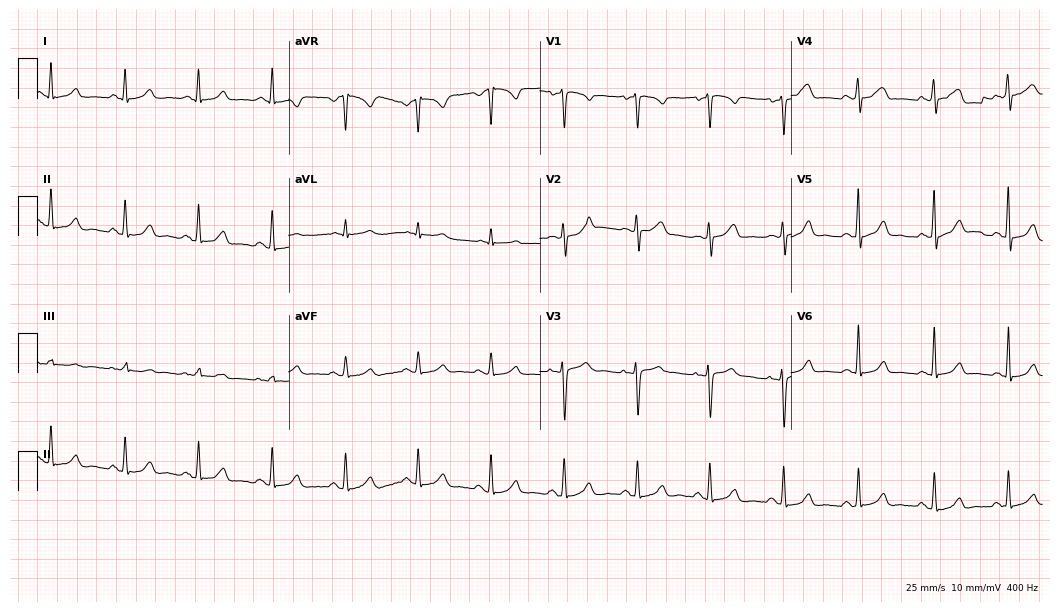
Standard 12-lead ECG recorded from a female, 34 years old. Read as a normal ECG.